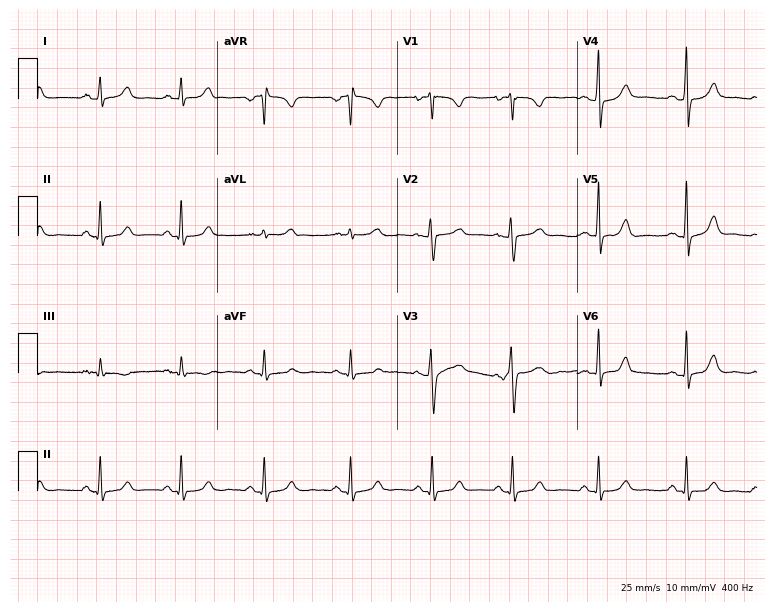
Standard 12-lead ECG recorded from a woman, 23 years old (7.3-second recording at 400 Hz). Read as a normal ECG.